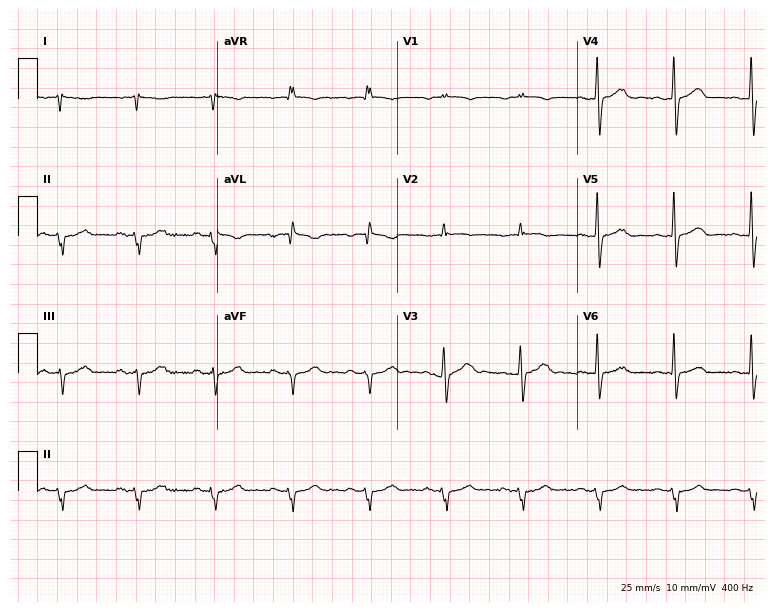
Standard 12-lead ECG recorded from a 76-year-old male patient (7.3-second recording at 400 Hz). None of these six findings is recorded: first-degree AV block, right bundle branch block (RBBB), left bundle branch block (LBBB), sinus bradycardia, atrial fibrillation (AF), sinus tachycardia.